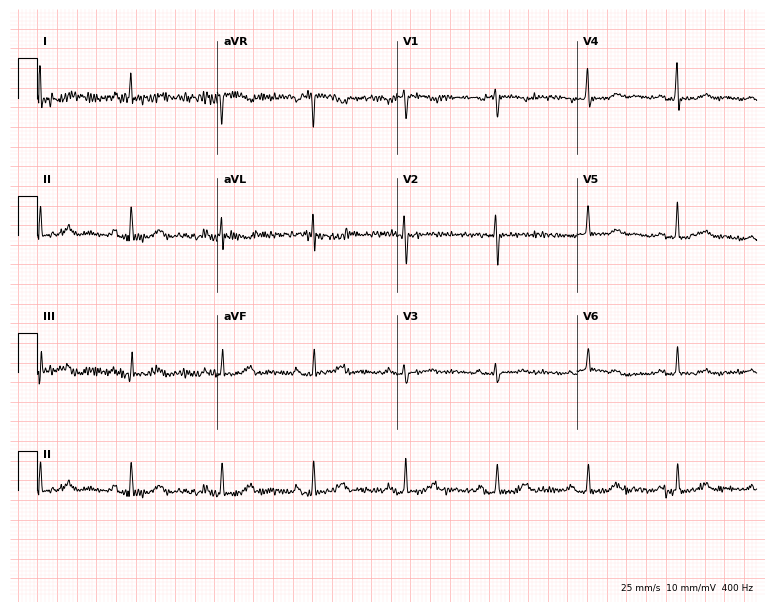
Resting 12-lead electrocardiogram. Patient: a 73-year-old female. None of these six findings is recorded: first-degree AV block, right bundle branch block, left bundle branch block, sinus bradycardia, atrial fibrillation, sinus tachycardia. Other findings, if any, are not listed.